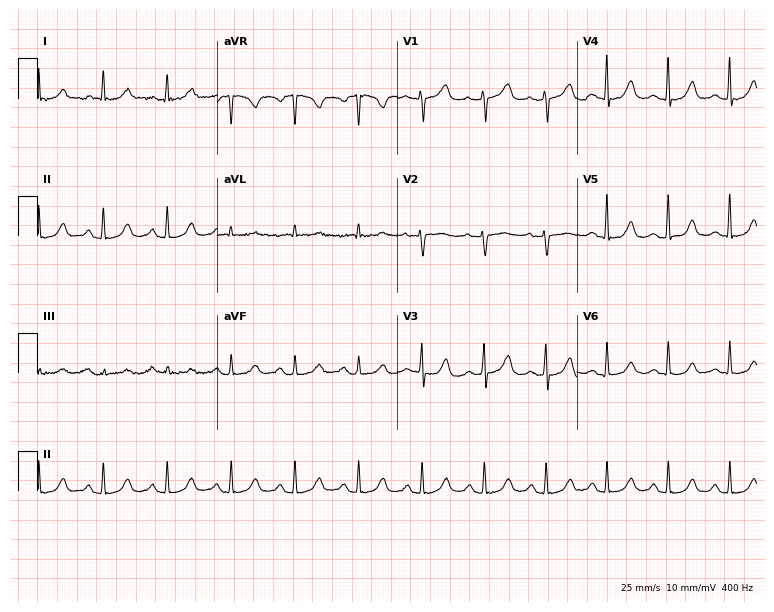
12-lead ECG from a female patient, 64 years old (7.3-second recording at 400 Hz). No first-degree AV block, right bundle branch block (RBBB), left bundle branch block (LBBB), sinus bradycardia, atrial fibrillation (AF) or sinus tachycardia recorded for this tracing.